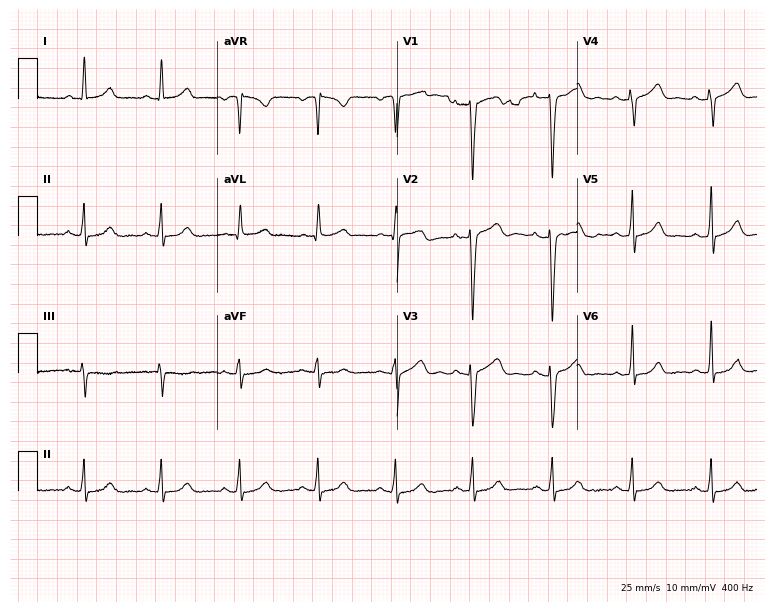
Resting 12-lead electrocardiogram (7.3-second recording at 400 Hz). Patient: a woman, 38 years old. Read as a normal ECG.